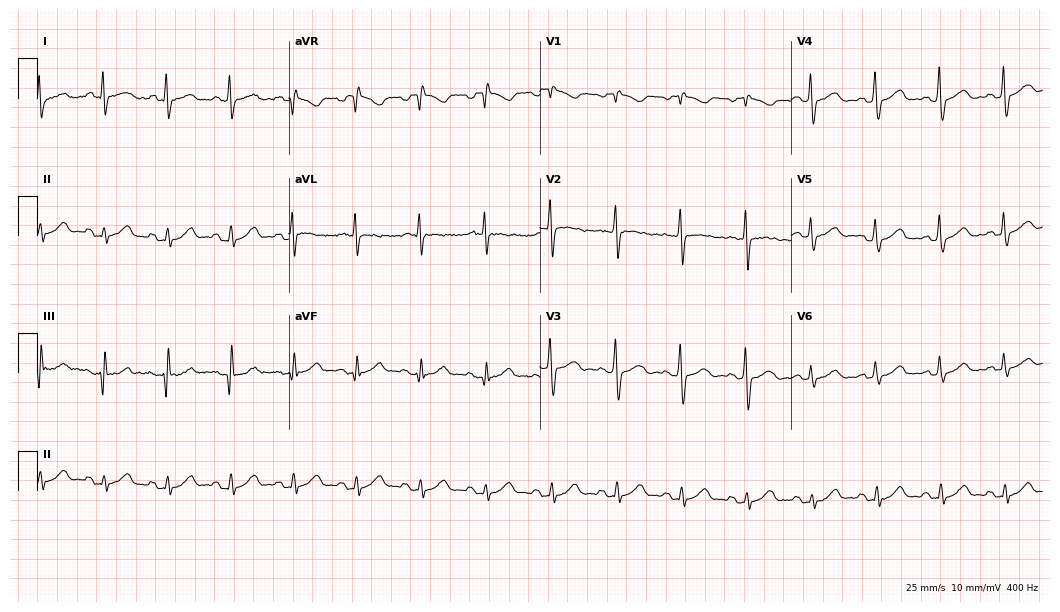
12-lead ECG (10.2-second recording at 400 Hz) from a male patient, 57 years old. Labelled as a normal ECG.